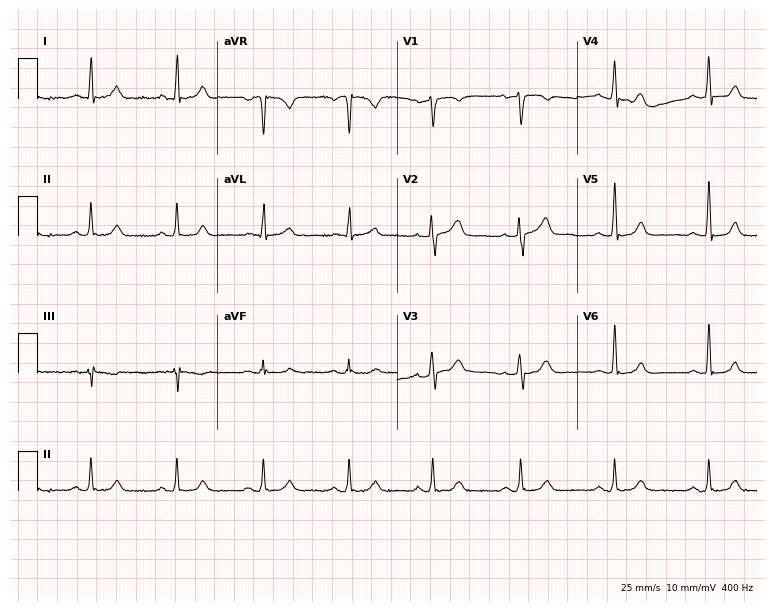
ECG — a man, 44 years old. Labelled as a normal ECG.